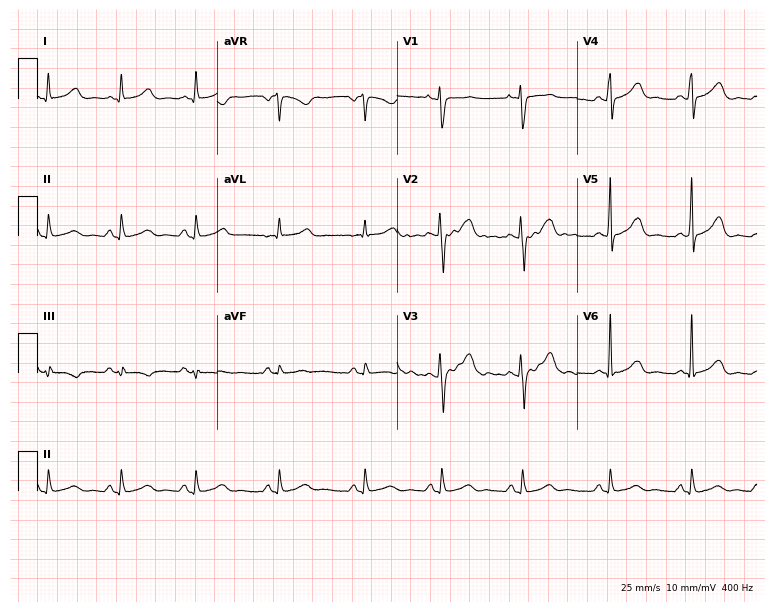
Standard 12-lead ECG recorded from a woman, 33 years old (7.3-second recording at 400 Hz). Read as a normal ECG.